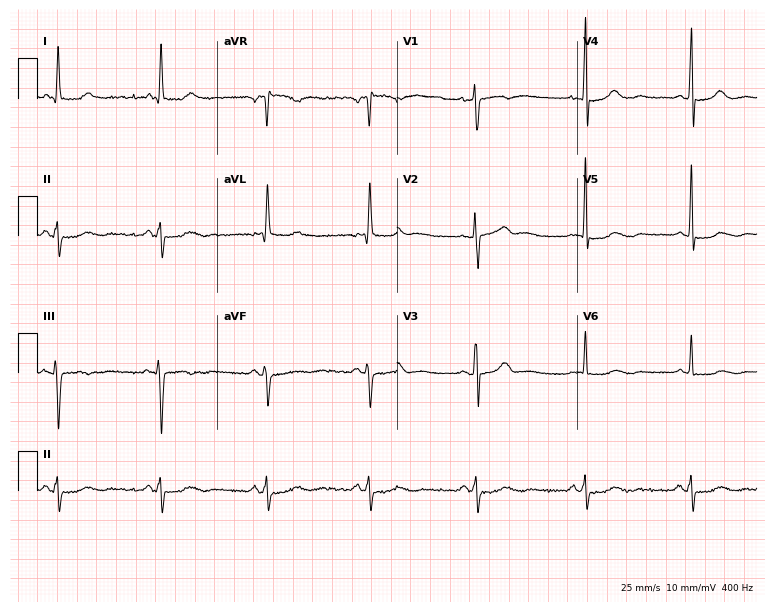
Electrocardiogram, a 77-year-old woman. Of the six screened findings (first-degree AV block, right bundle branch block, left bundle branch block, sinus bradycardia, atrial fibrillation, sinus tachycardia), none is recorded.